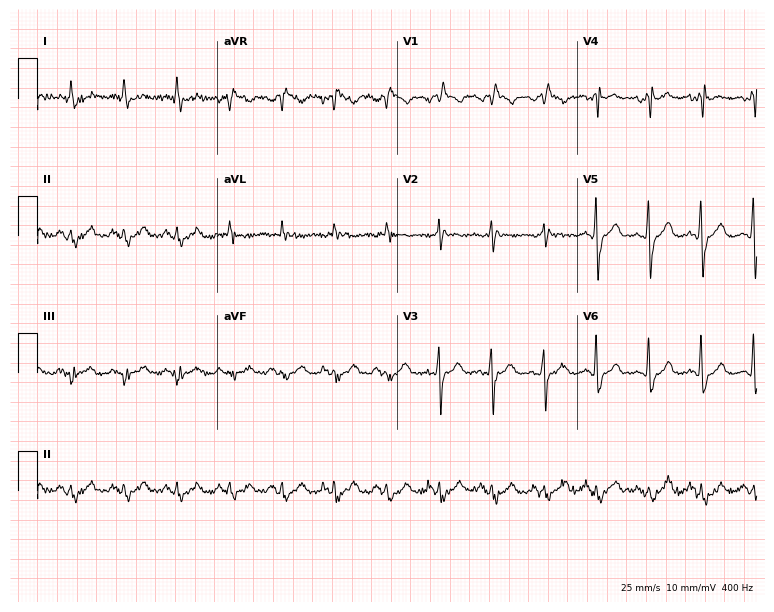
Standard 12-lead ECG recorded from a 59-year-old male patient. None of these six findings is recorded: first-degree AV block, right bundle branch block (RBBB), left bundle branch block (LBBB), sinus bradycardia, atrial fibrillation (AF), sinus tachycardia. Only these six findings were labelled.